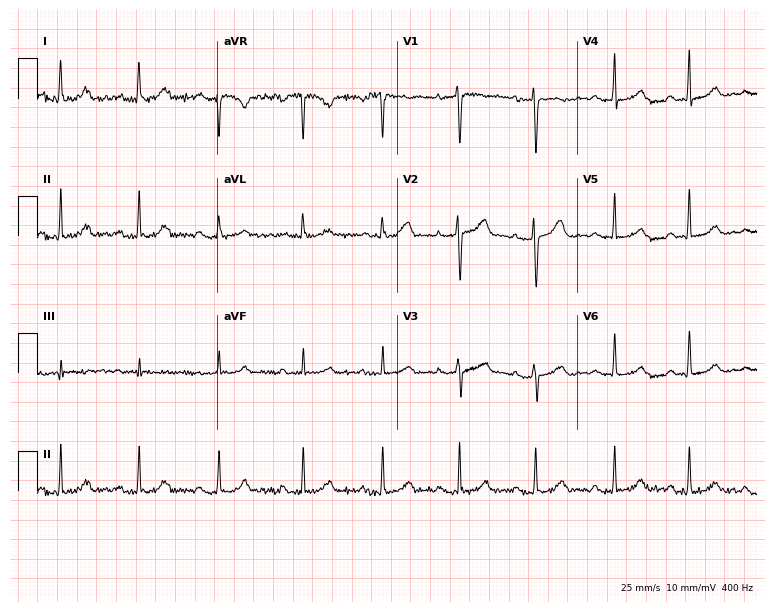
Standard 12-lead ECG recorded from a woman, 37 years old. None of these six findings is recorded: first-degree AV block, right bundle branch block, left bundle branch block, sinus bradycardia, atrial fibrillation, sinus tachycardia. Findings outside these six are not listed.